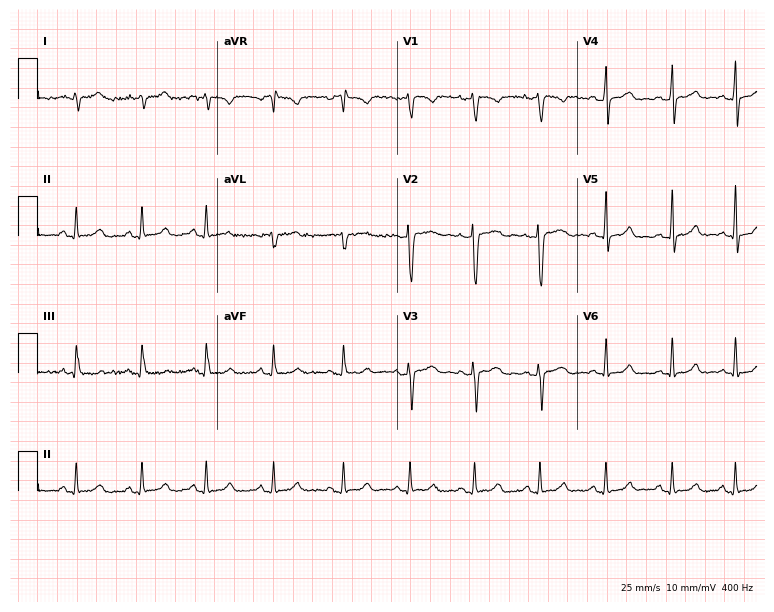
Electrocardiogram, a 34-year-old female patient. Of the six screened findings (first-degree AV block, right bundle branch block, left bundle branch block, sinus bradycardia, atrial fibrillation, sinus tachycardia), none is recorded.